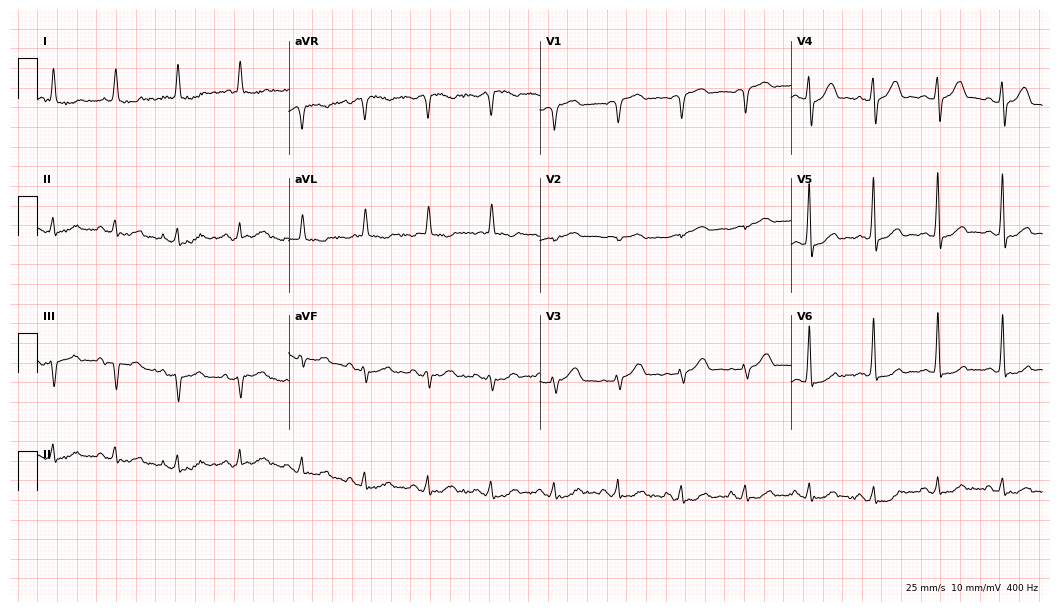
Standard 12-lead ECG recorded from a male patient, 81 years old (10.2-second recording at 400 Hz). None of these six findings is recorded: first-degree AV block, right bundle branch block (RBBB), left bundle branch block (LBBB), sinus bradycardia, atrial fibrillation (AF), sinus tachycardia.